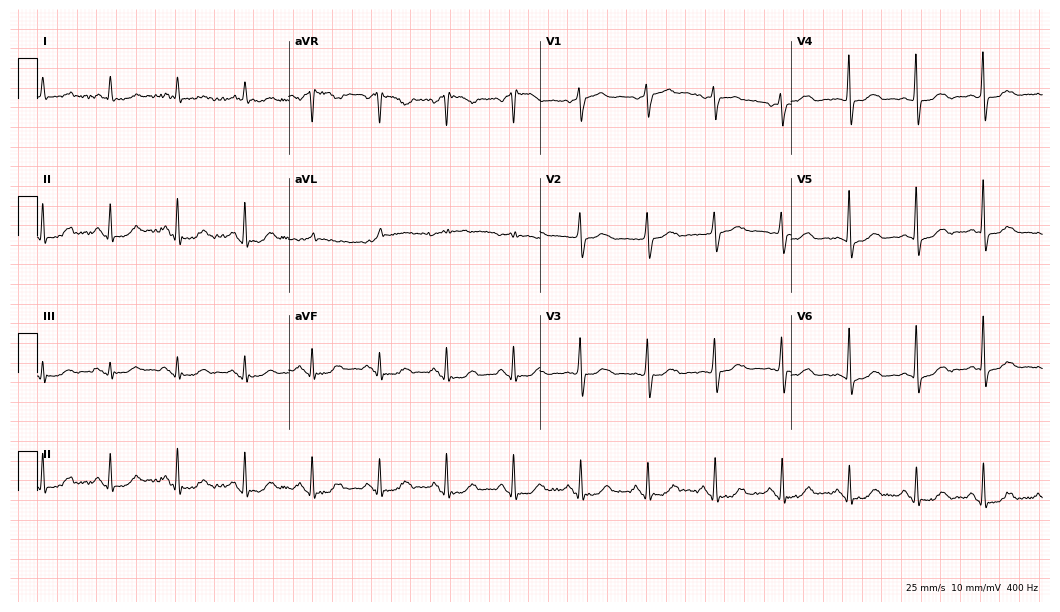
Standard 12-lead ECG recorded from an 83-year-old female patient (10.2-second recording at 400 Hz). None of these six findings is recorded: first-degree AV block, right bundle branch block, left bundle branch block, sinus bradycardia, atrial fibrillation, sinus tachycardia.